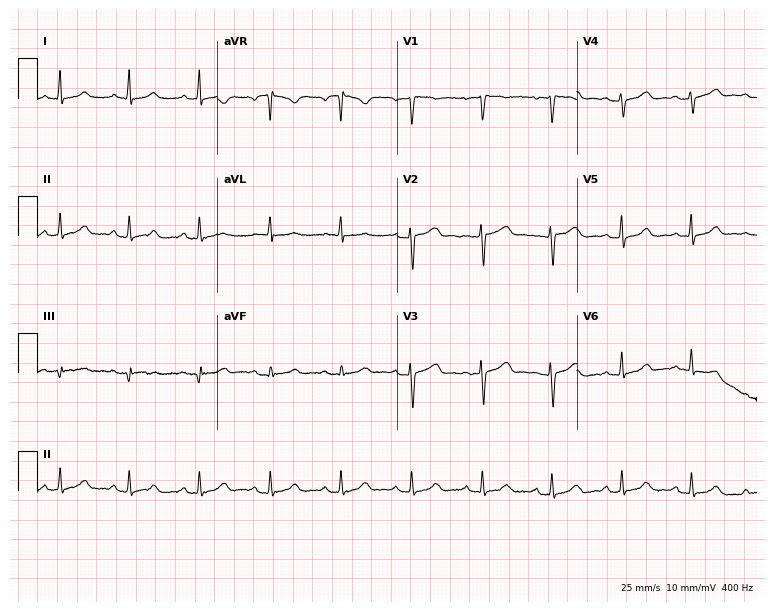
Standard 12-lead ECG recorded from a woman, 47 years old. None of these six findings is recorded: first-degree AV block, right bundle branch block (RBBB), left bundle branch block (LBBB), sinus bradycardia, atrial fibrillation (AF), sinus tachycardia.